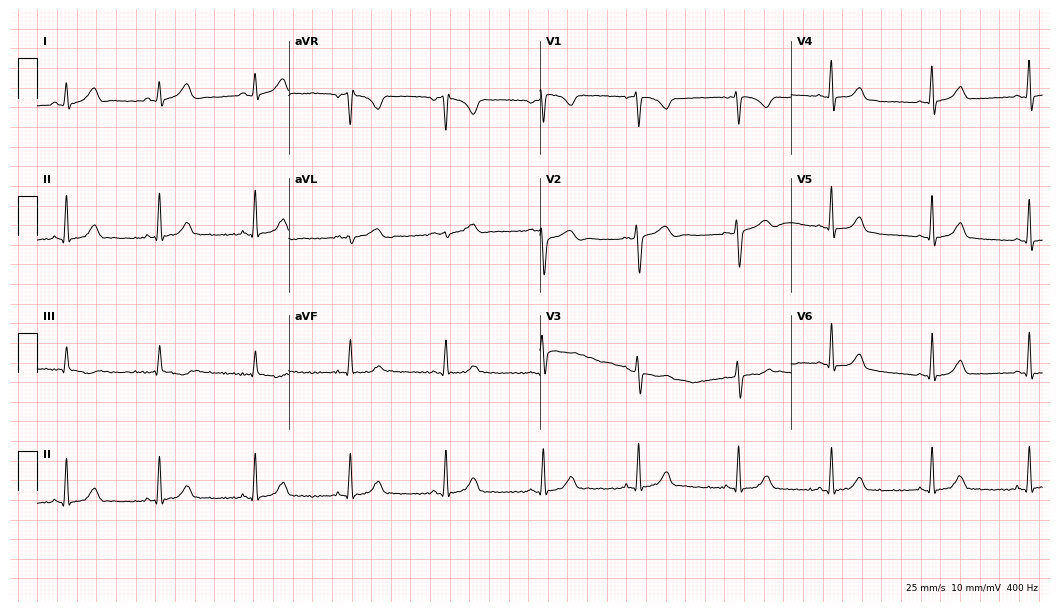
Standard 12-lead ECG recorded from a 23-year-old male (10.2-second recording at 400 Hz). Read as a normal ECG.